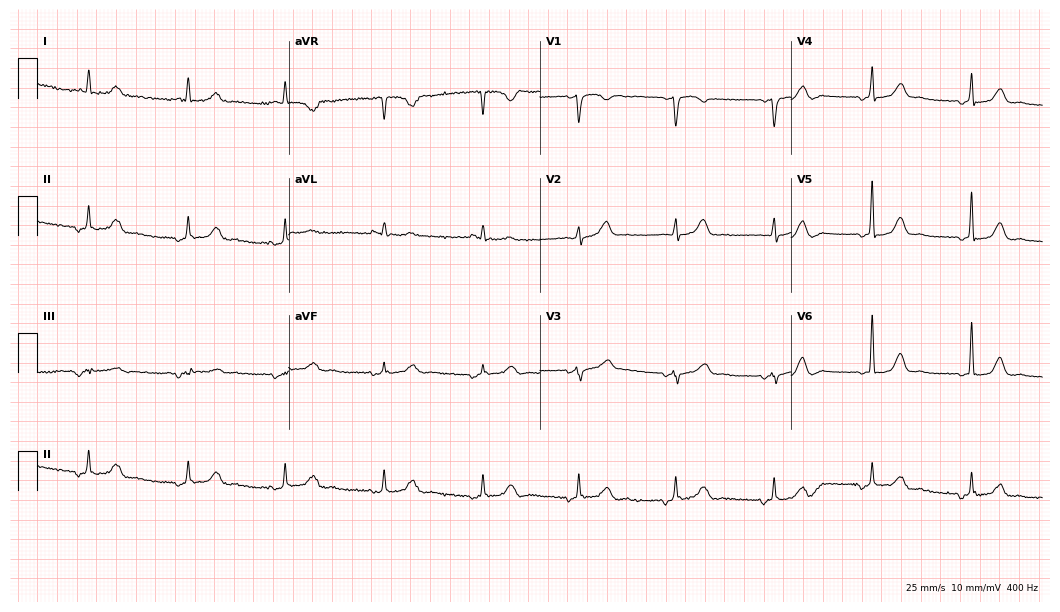
12-lead ECG (10.2-second recording at 400 Hz) from a 69-year-old female patient. Screened for six findings — first-degree AV block, right bundle branch block, left bundle branch block, sinus bradycardia, atrial fibrillation, sinus tachycardia — none is recorded.